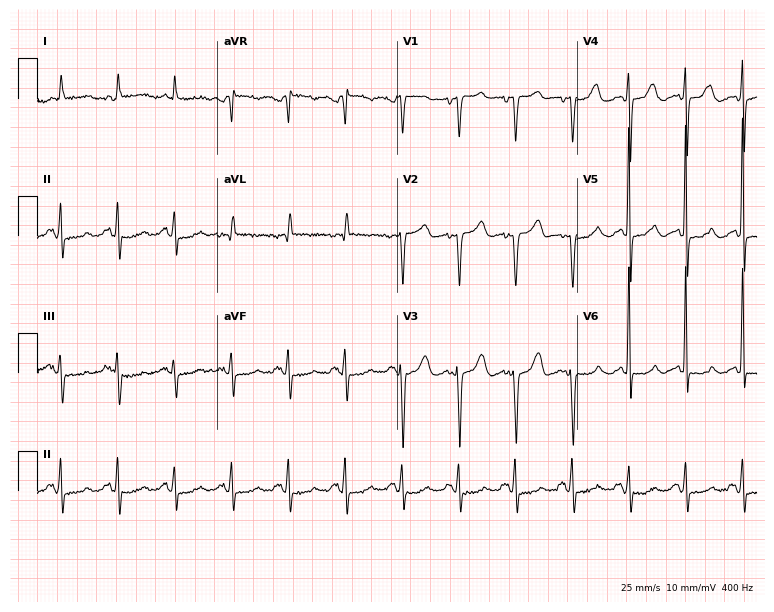
12-lead ECG from a 71-year-old woman. Shows sinus tachycardia (a sinus rate of 100 beats per minute or more).